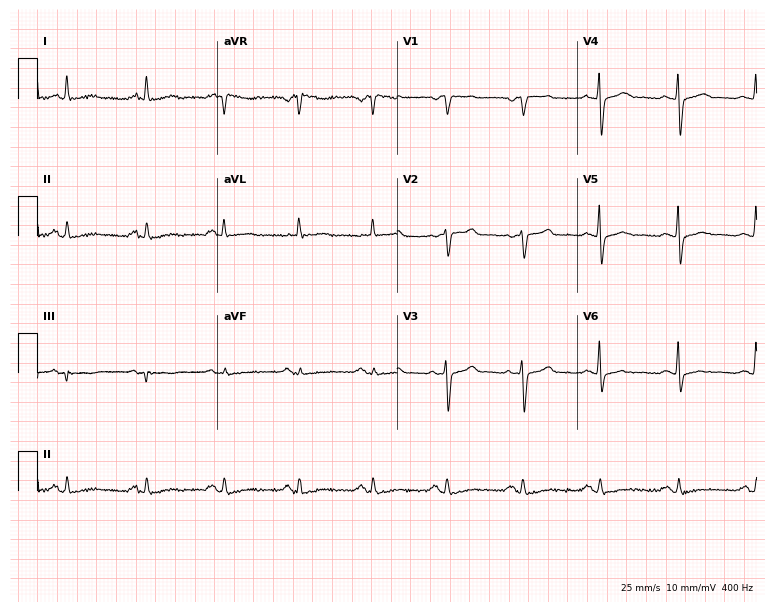
Electrocardiogram, a 63-year-old female patient. Overall reading on record: normal ECG.